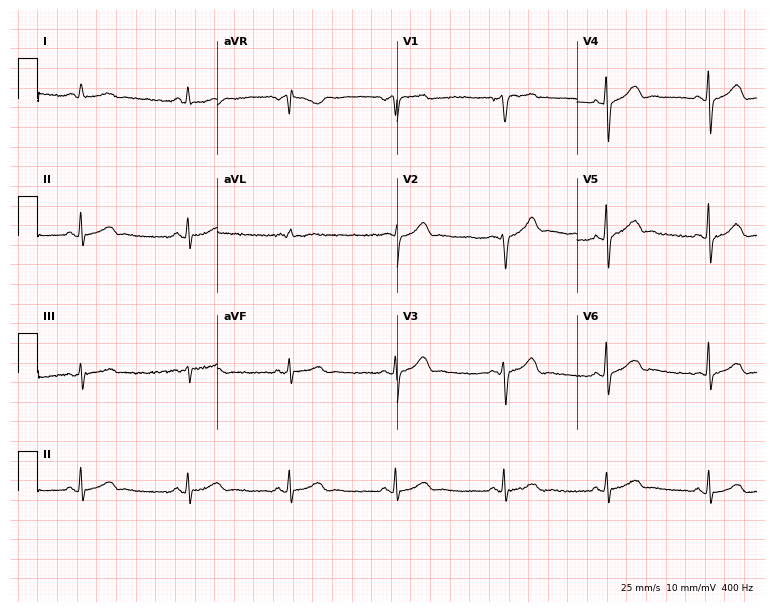
Resting 12-lead electrocardiogram (7.3-second recording at 400 Hz). Patient: a female, 61 years old. Read as a normal ECG.